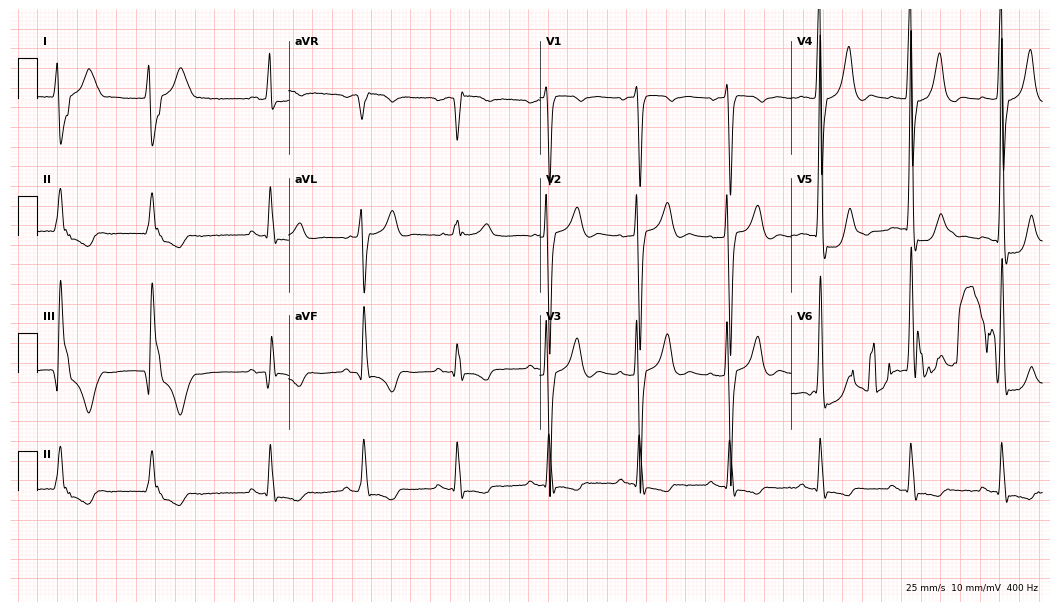
Standard 12-lead ECG recorded from a male, 85 years old (10.2-second recording at 400 Hz). None of these six findings is recorded: first-degree AV block, right bundle branch block, left bundle branch block, sinus bradycardia, atrial fibrillation, sinus tachycardia.